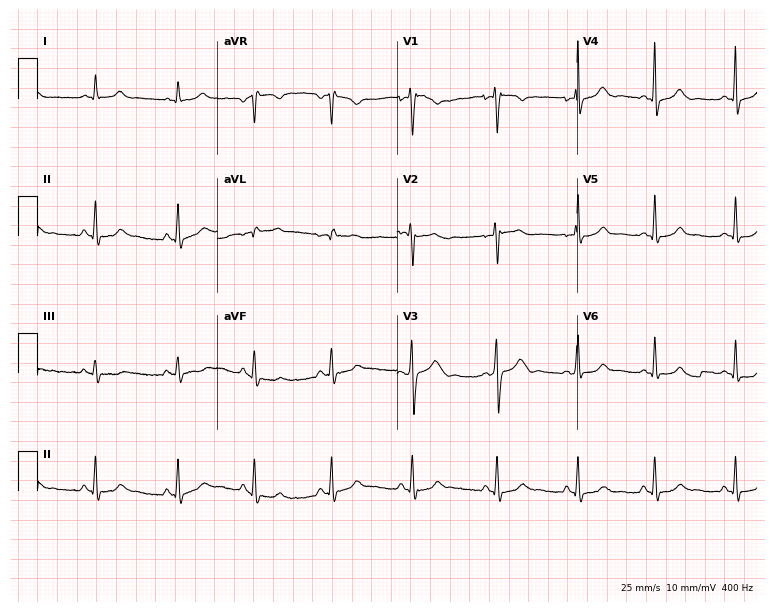
Resting 12-lead electrocardiogram. Patient: a woman, 37 years old. Read as a normal ECG.